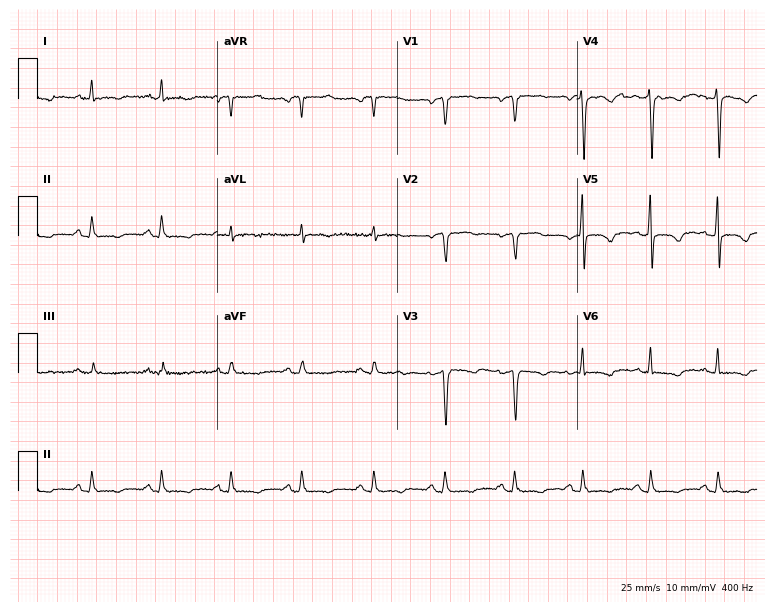
12-lead ECG (7.3-second recording at 400 Hz) from a 52-year-old woman. Screened for six findings — first-degree AV block, right bundle branch block, left bundle branch block, sinus bradycardia, atrial fibrillation, sinus tachycardia — none is recorded.